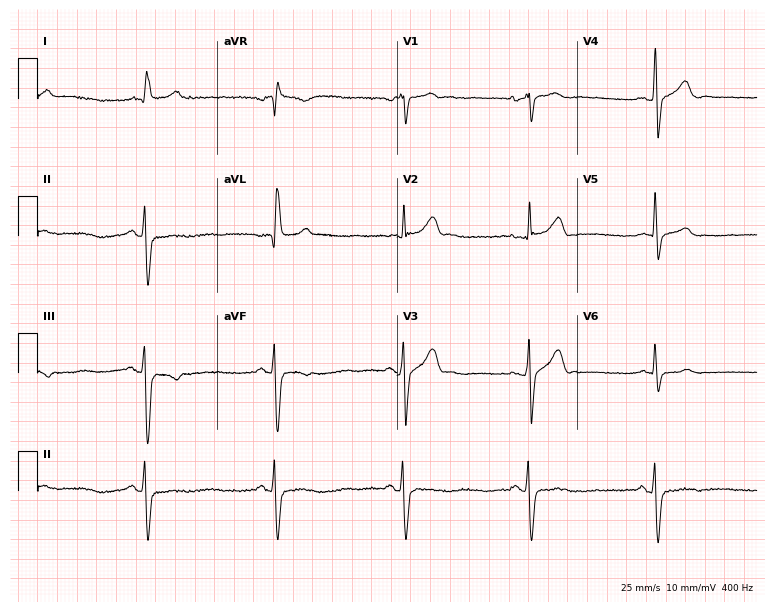
Standard 12-lead ECG recorded from a 75-year-old male patient (7.3-second recording at 400 Hz). The tracing shows sinus bradycardia (a sinus rate of 50 beats per minute or less).